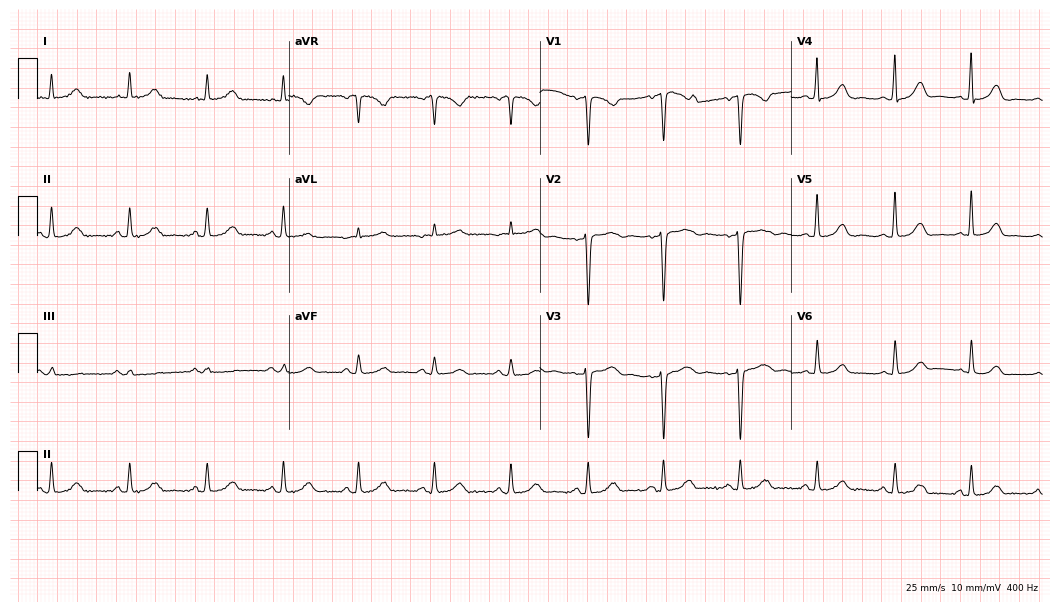
ECG — a 70-year-old female. Labelled as a normal ECG.